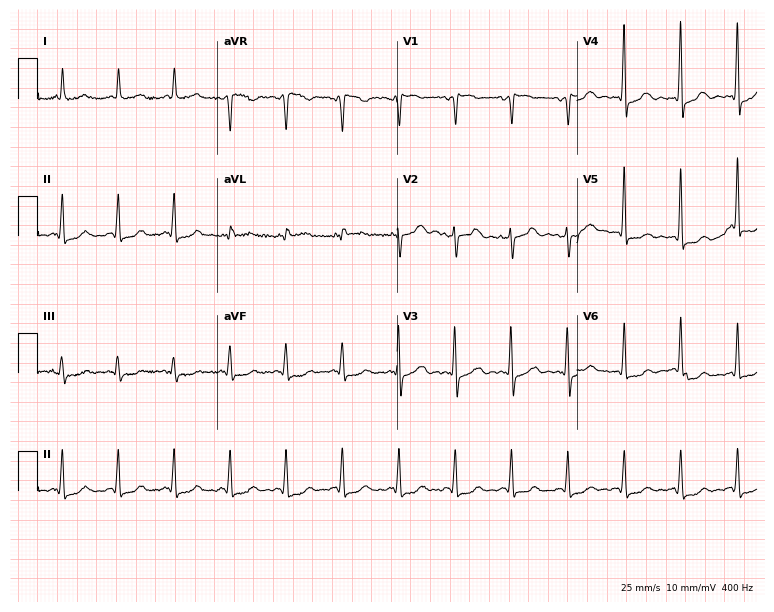
ECG — a male patient, 66 years old. Findings include sinus tachycardia (a sinus rate of 100 beats per minute or more).